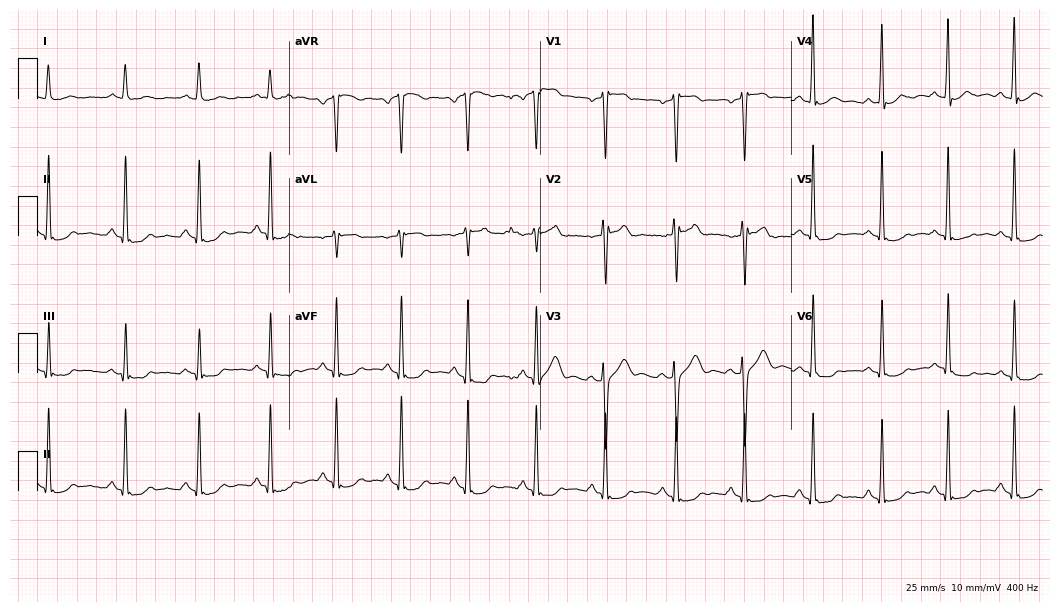
Electrocardiogram, a male patient, 42 years old. Of the six screened findings (first-degree AV block, right bundle branch block (RBBB), left bundle branch block (LBBB), sinus bradycardia, atrial fibrillation (AF), sinus tachycardia), none is recorded.